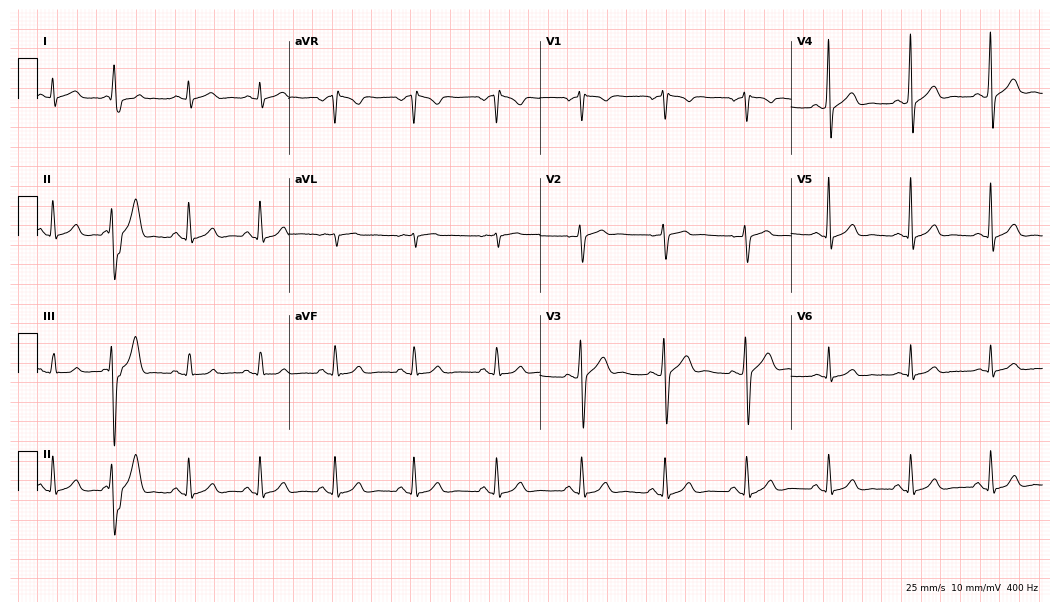
ECG — a male, 46 years old. Screened for six findings — first-degree AV block, right bundle branch block (RBBB), left bundle branch block (LBBB), sinus bradycardia, atrial fibrillation (AF), sinus tachycardia — none is recorded.